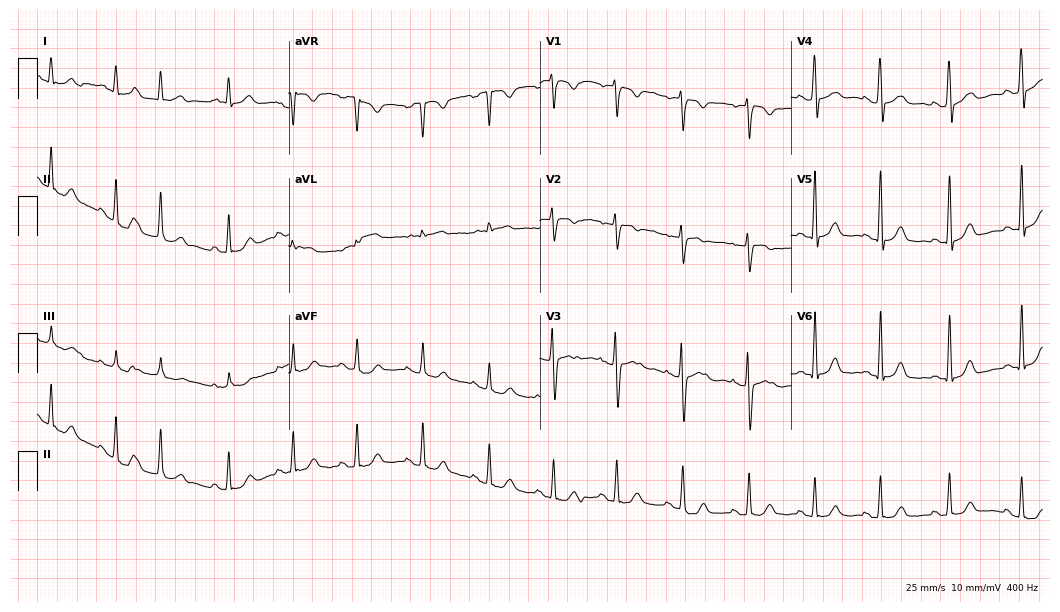
Standard 12-lead ECG recorded from a 39-year-old female patient. None of these six findings is recorded: first-degree AV block, right bundle branch block, left bundle branch block, sinus bradycardia, atrial fibrillation, sinus tachycardia. Other findings, if any, are not listed.